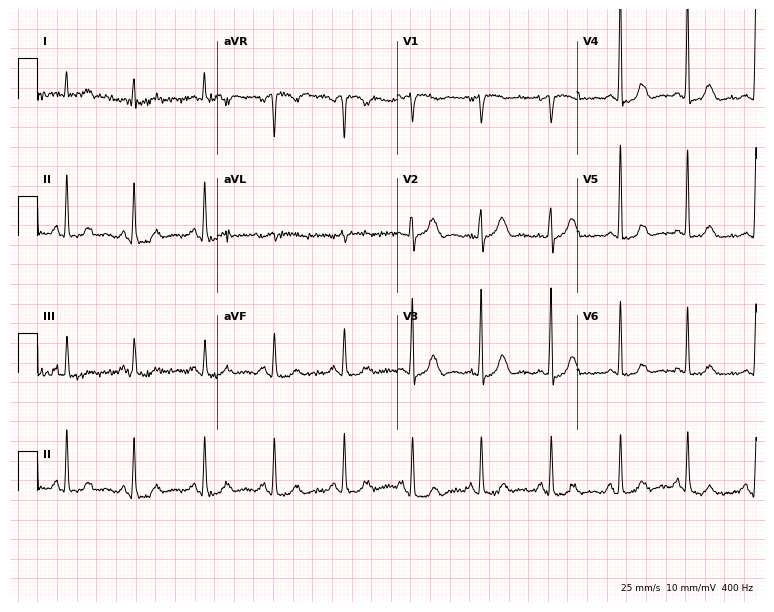
Resting 12-lead electrocardiogram. Patient: a female, 85 years old. Read as a normal ECG.